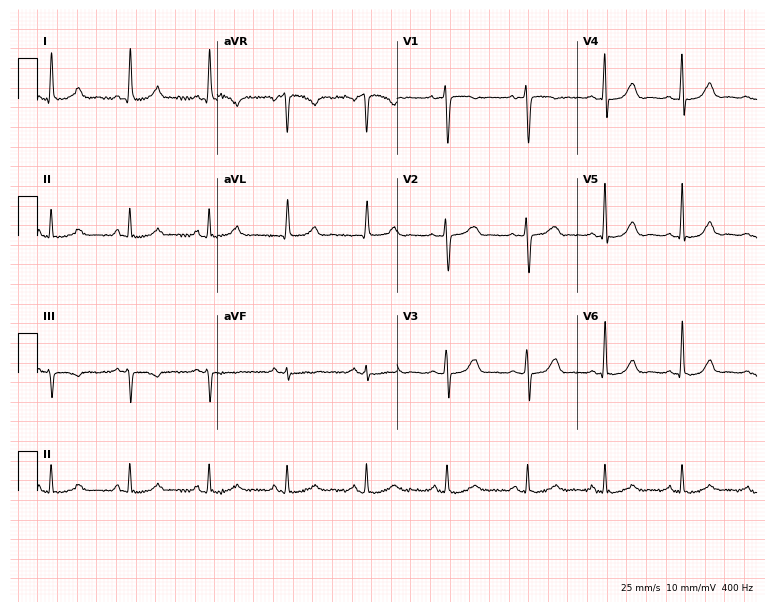
12-lead ECG from a 56-year-old female patient. Labelled as a normal ECG.